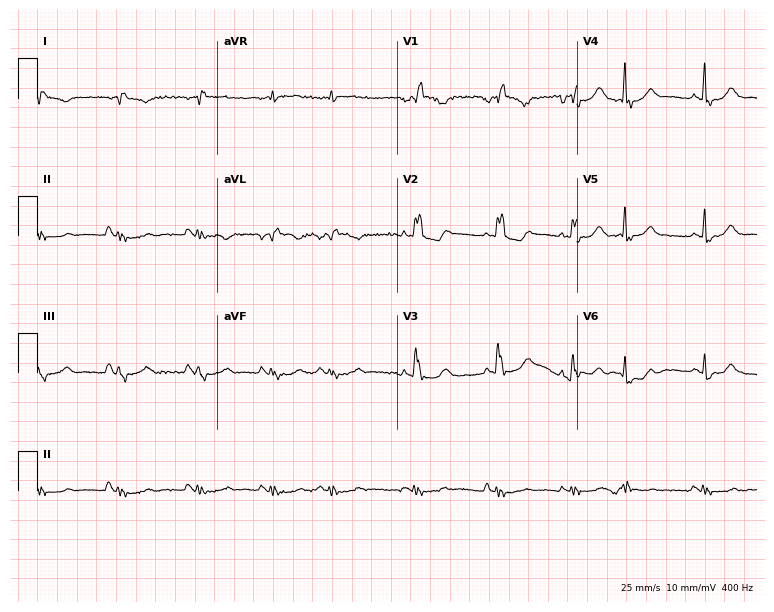
12-lead ECG from a female, 80 years old (7.3-second recording at 400 Hz). Shows right bundle branch block (RBBB).